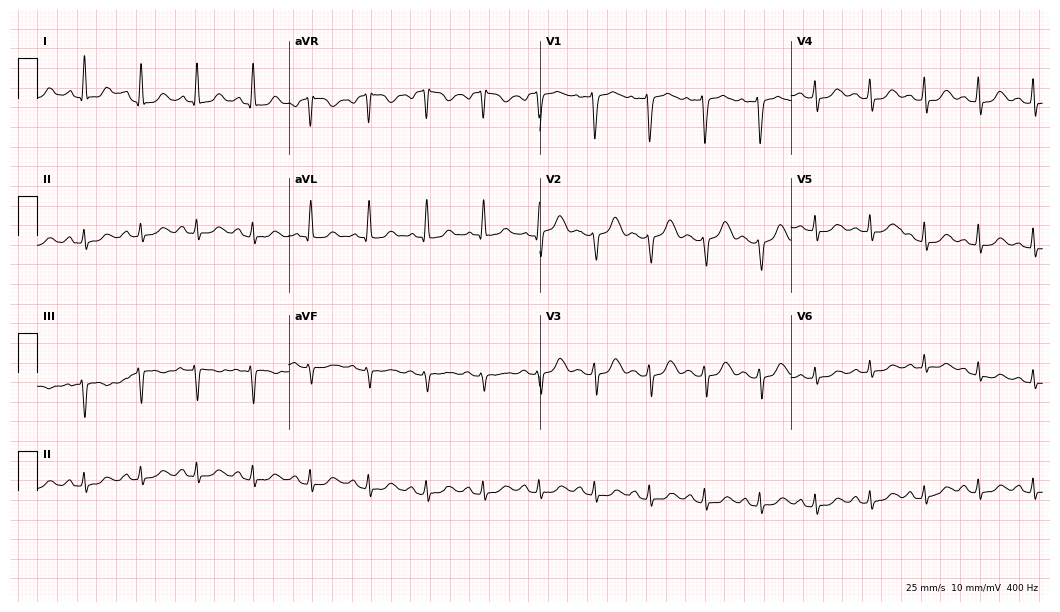
Resting 12-lead electrocardiogram. Patient: a 33-year-old female. The tracing shows sinus tachycardia (a sinus rate of 100 beats per minute or more).